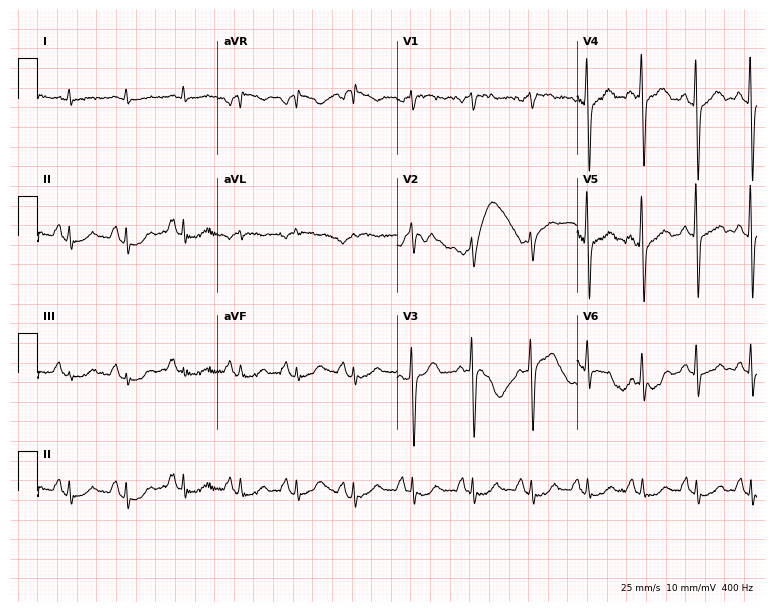
Resting 12-lead electrocardiogram (7.3-second recording at 400 Hz). Patient: a man, 71 years old. The tracing shows sinus tachycardia (a sinus rate of 100 beats per minute or more).